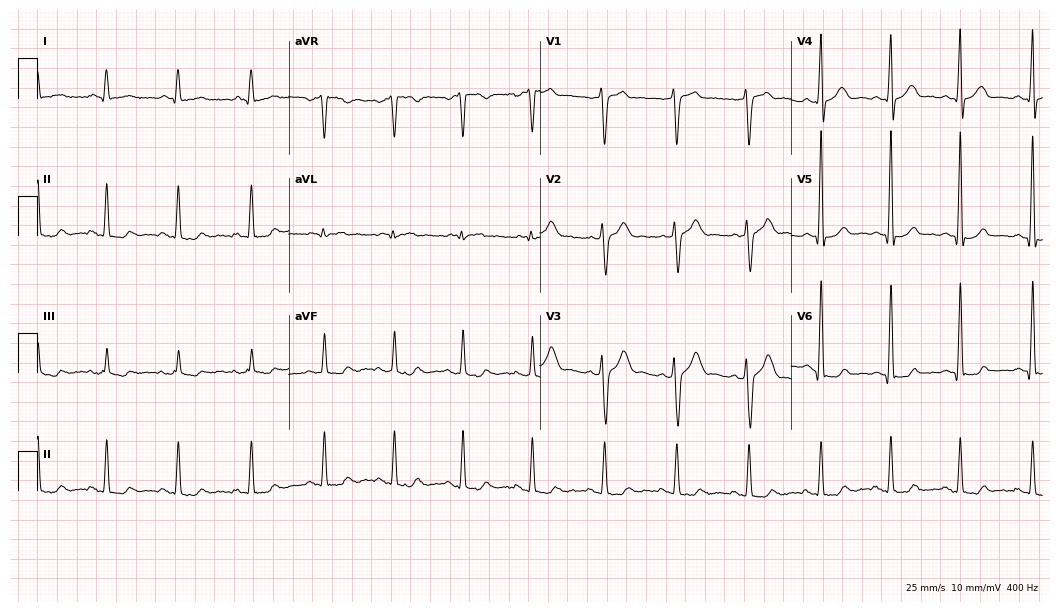
12-lead ECG from a 73-year-old male patient. Screened for six findings — first-degree AV block, right bundle branch block (RBBB), left bundle branch block (LBBB), sinus bradycardia, atrial fibrillation (AF), sinus tachycardia — none is recorded.